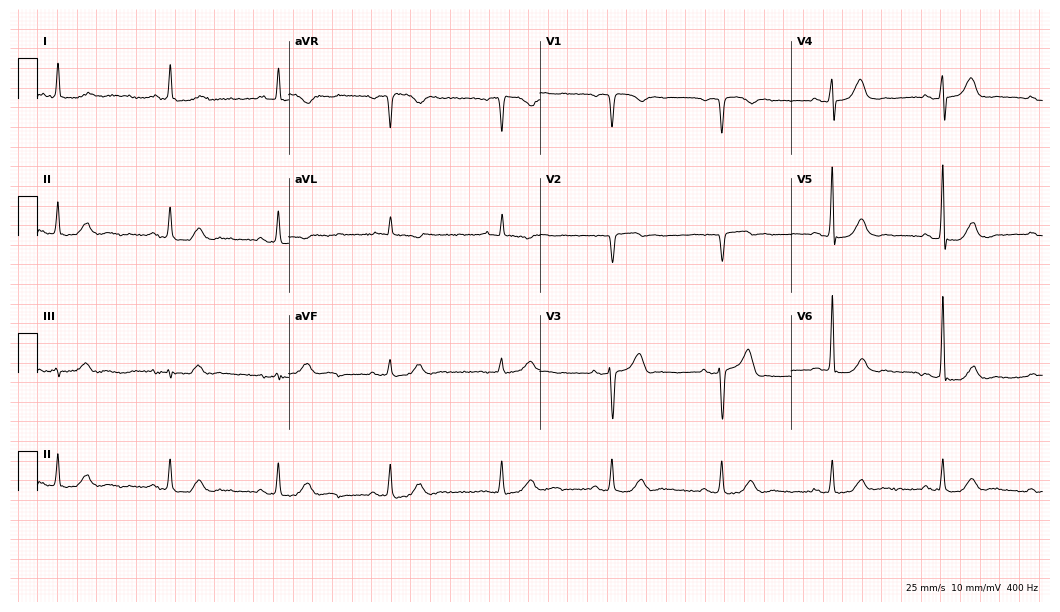
Standard 12-lead ECG recorded from a 78-year-old man. None of these six findings is recorded: first-degree AV block, right bundle branch block, left bundle branch block, sinus bradycardia, atrial fibrillation, sinus tachycardia.